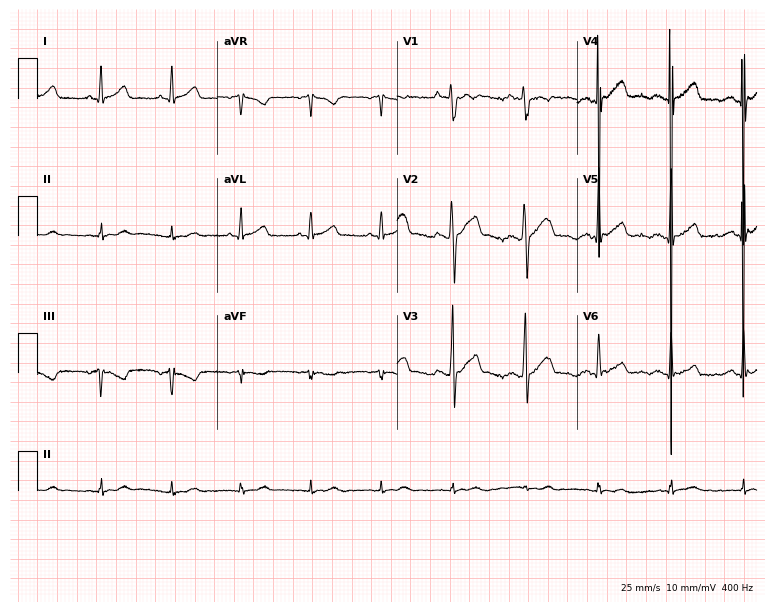
ECG (7.3-second recording at 400 Hz) — a man, 28 years old. Screened for six findings — first-degree AV block, right bundle branch block (RBBB), left bundle branch block (LBBB), sinus bradycardia, atrial fibrillation (AF), sinus tachycardia — none is recorded.